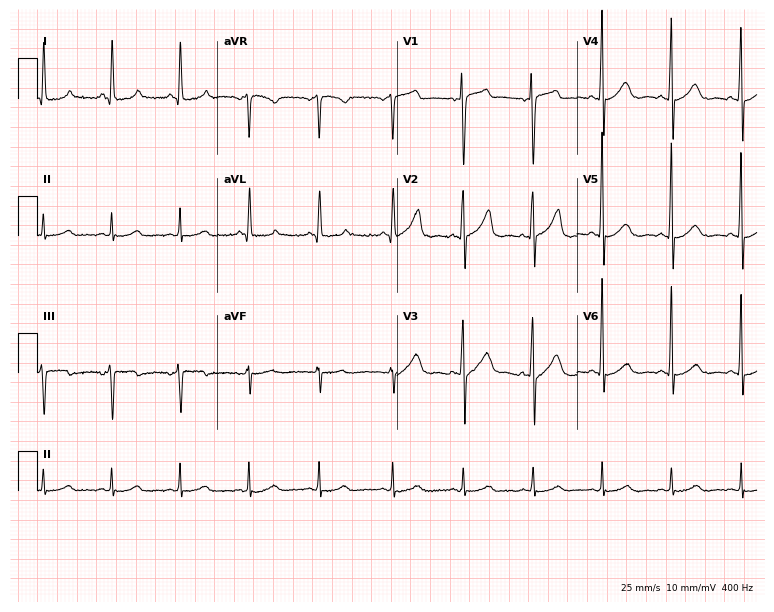
ECG — a 76-year-old female patient. Screened for six findings — first-degree AV block, right bundle branch block, left bundle branch block, sinus bradycardia, atrial fibrillation, sinus tachycardia — none is recorded. Only these six findings were labelled.